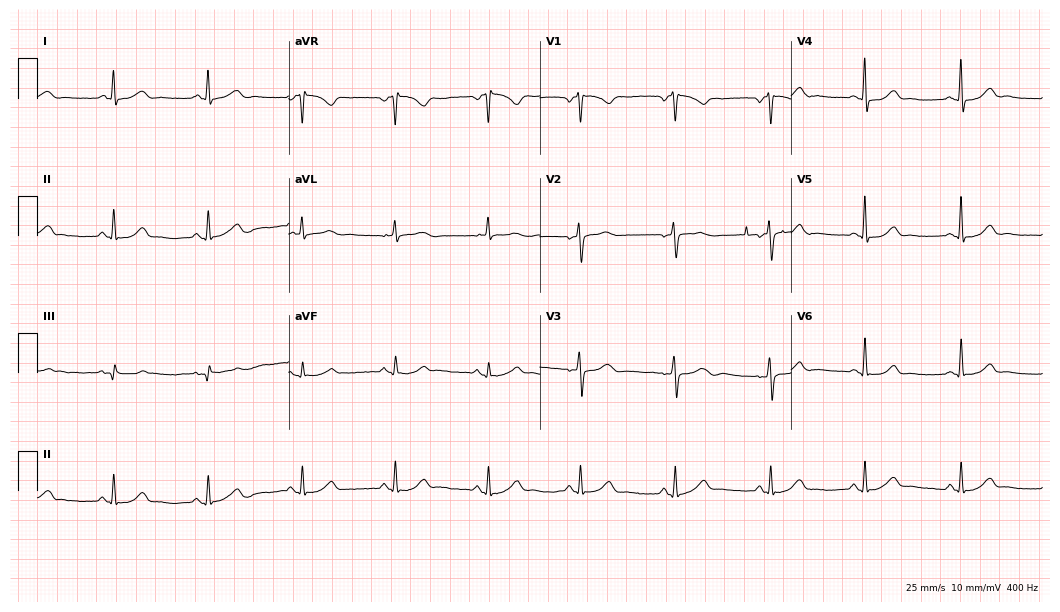
Electrocardiogram (10.2-second recording at 400 Hz), a 46-year-old female. Overall reading on record: normal ECG.